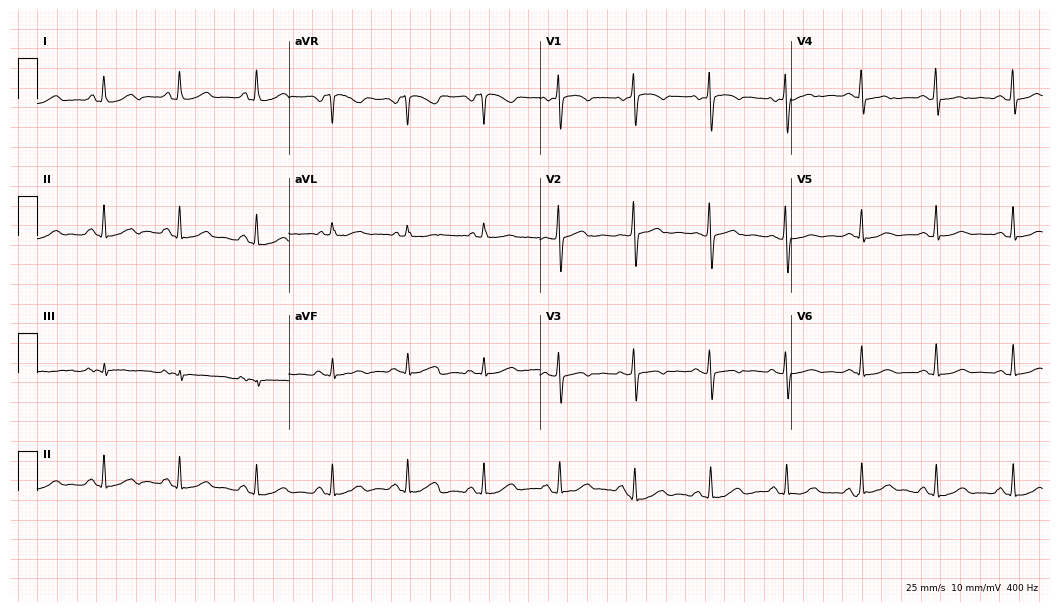
12-lead ECG from a female patient, 65 years old. No first-degree AV block, right bundle branch block (RBBB), left bundle branch block (LBBB), sinus bradycardia, atrial fibrillation (AF) or sinus tachycardia recorded for this tracing.